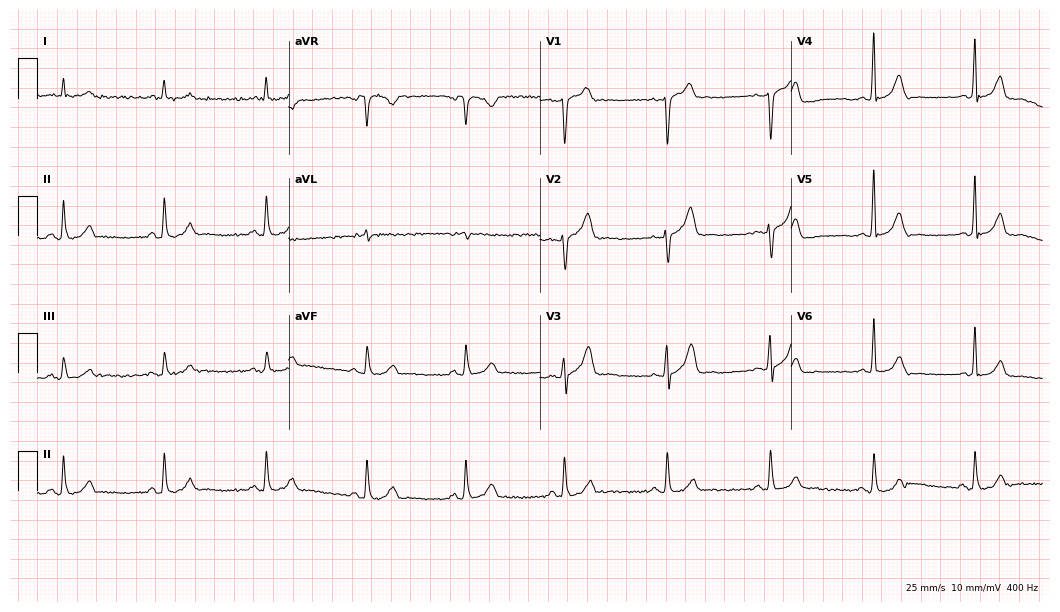
Electrocardiogram (10.2-second recording at 400 Hz), a 47-year-old male patient. Overall reading on record: normal ECG.